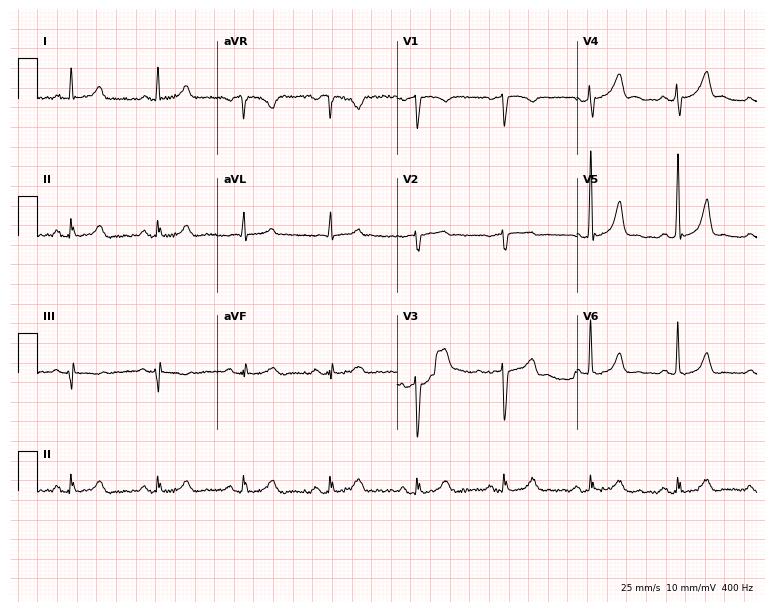
12-lead ECG (7.3-second recording at 400 Hz) from a 72-year-old male patient. Screened for six findings — first-degree AV block, right bundle branch block, left bundle branch block, sinus bradycardia, atrial fibrillation, sinus tachycardia — none is recorded. Other findings, if any, are not listed.